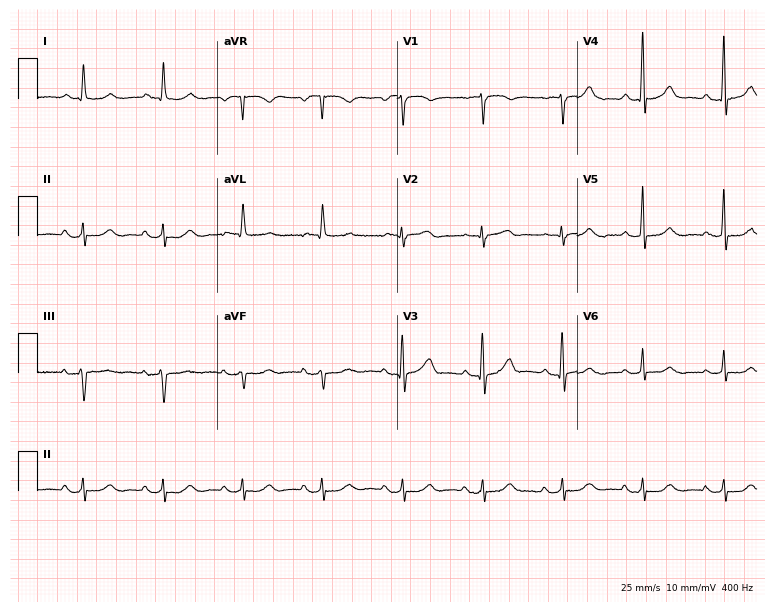
ECG (7.3-second recording at 400 Hz) — a male, 76 years old. Screened for six findings — first-degree AV block, right bundle branch block, left bundle branch block, sinus bradycardia, atrial fibrillation, sinus tachycardia — none is recorded.